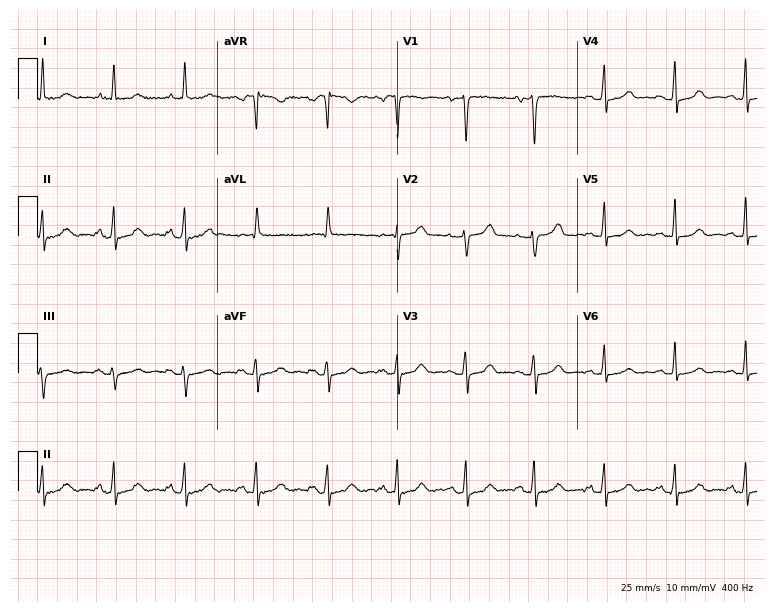
12-lead ECG from a 50-year-old female. Recorded interpretation: within normal limits.